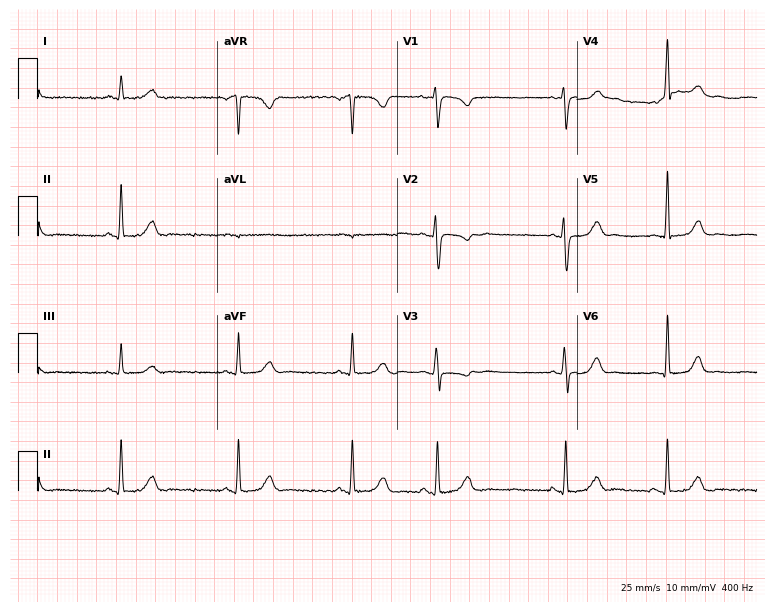
ECG — a woman, 26 years old. Screened for six findings — first-degree AV block, right bundle branch block, left bundle branch block, sinus bradycardia, atrial fibrillation, sinus tachycardia — none is recorded.